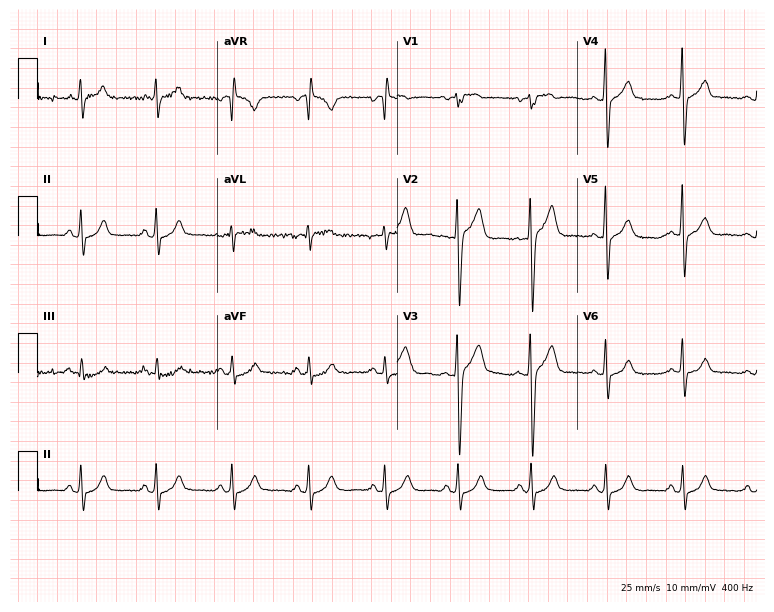
Electrocardiogram (7.3-second recording at 400 Hz), a man, 32 years old. Overall reading on record: normal ECG.